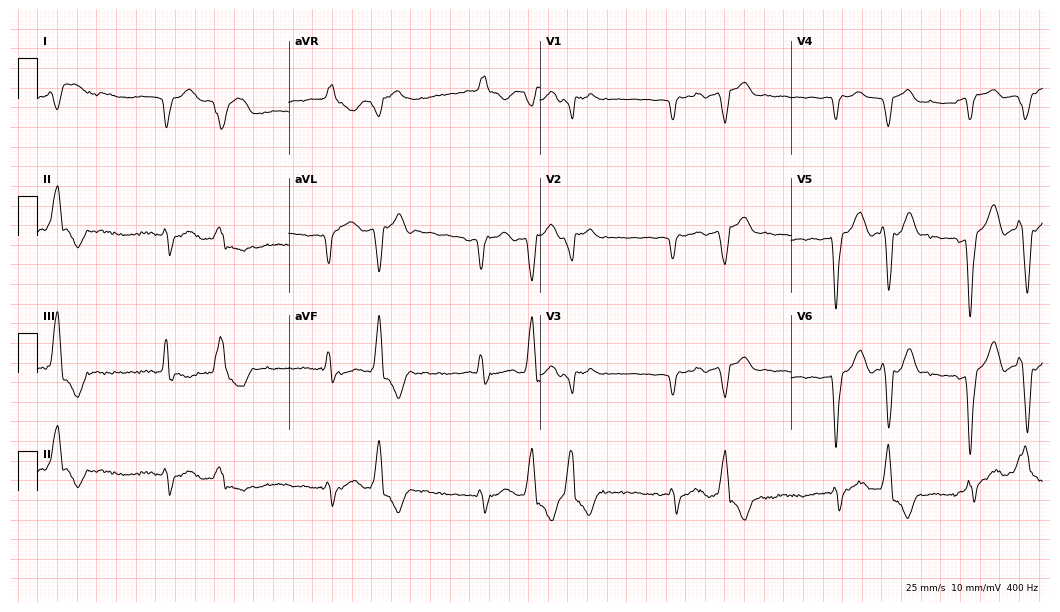
12-lead ECG from a 76-year-old male patient. Screened for six findings — first-degree AV block, right bundle branch block, left bundle branch block, sinus bradycardia, atrial fibrillation, sinus tachycardia — none is recorded. Findings outside these six are not listed.